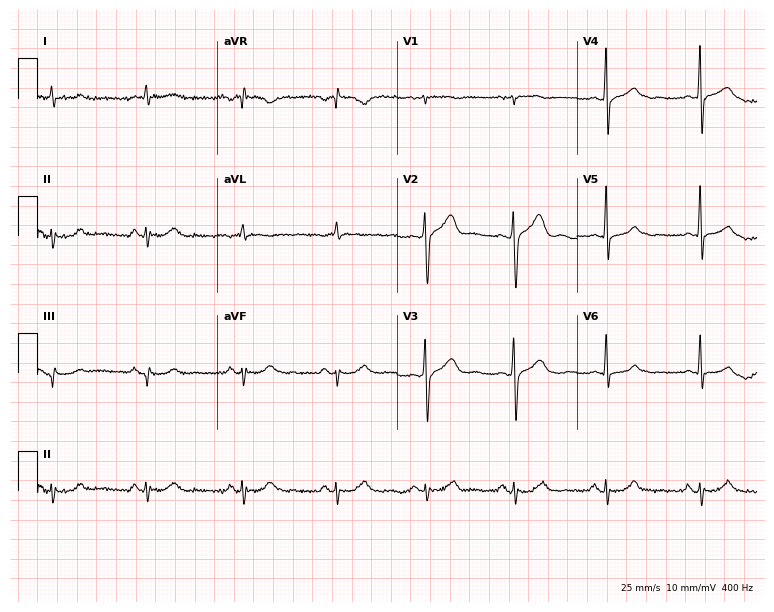
Electrocardiogram, a 68-year-old male. Of the six screened findings (first-degree AV block, right bundle branch block (RBBB), left bundle branch block (LBBB), sinus bradycardia, atrial fibrillation (AF), sinus tachycardia), none is recorded.